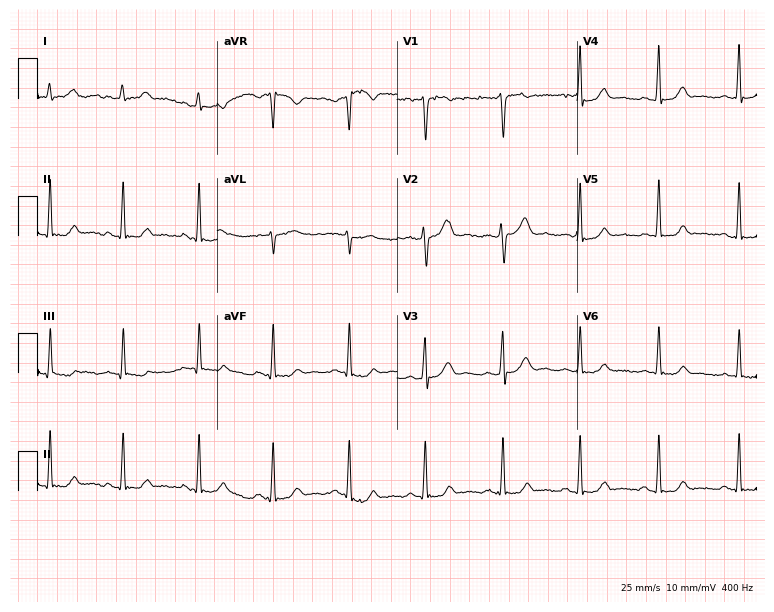
ECG (7.3-second recording at 400 Hz) — a female patient, 24 years old. Screened for six findings — first-degree AV block, right bundle branch block, left bundle branch block, sinus bradycardia, atrial fibrillation, sinus tachycardia — none is recorded.